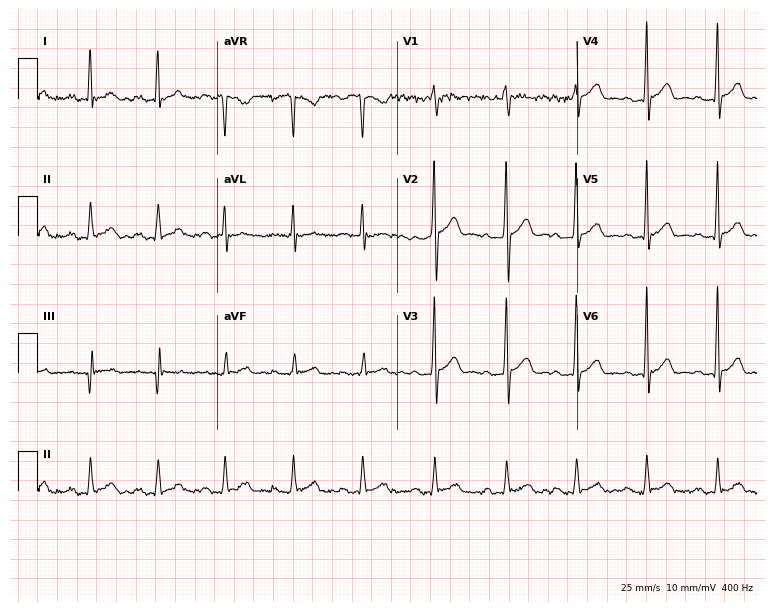
ECG (7.3-second recording at 400 Hz) — a 25-year-old male patient. Labelled as a normal ECG.